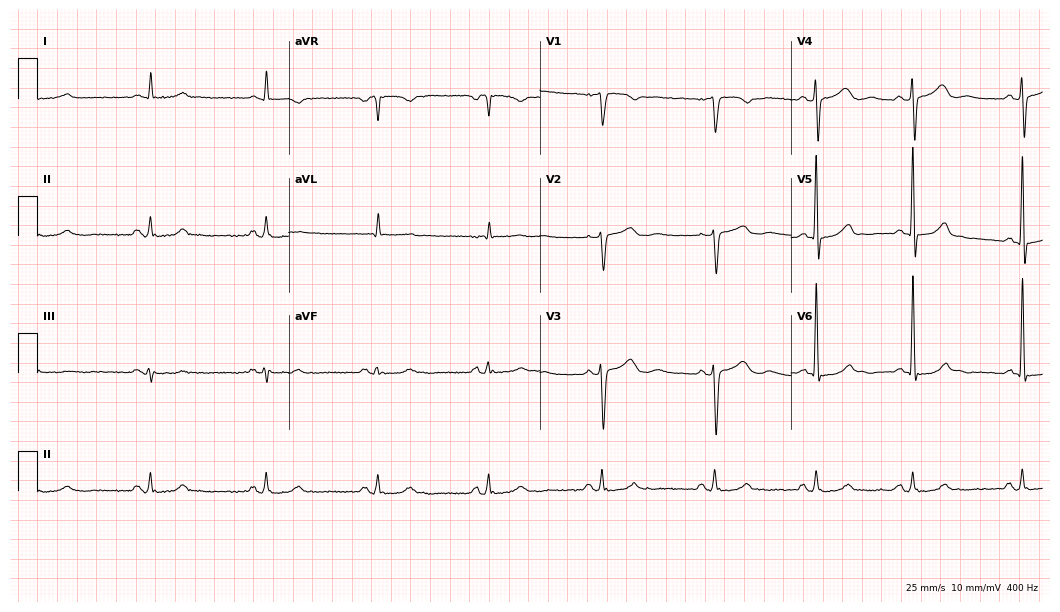
12-lead ECG from a 59-year-old male patient. Screened for six findings — first-degree AV block, right bundle branch block, left bundle branch block, sinus bradycardia, atrial fibrillation, sinus tachycardia — none is recorded. Findings outside these six are not listed.